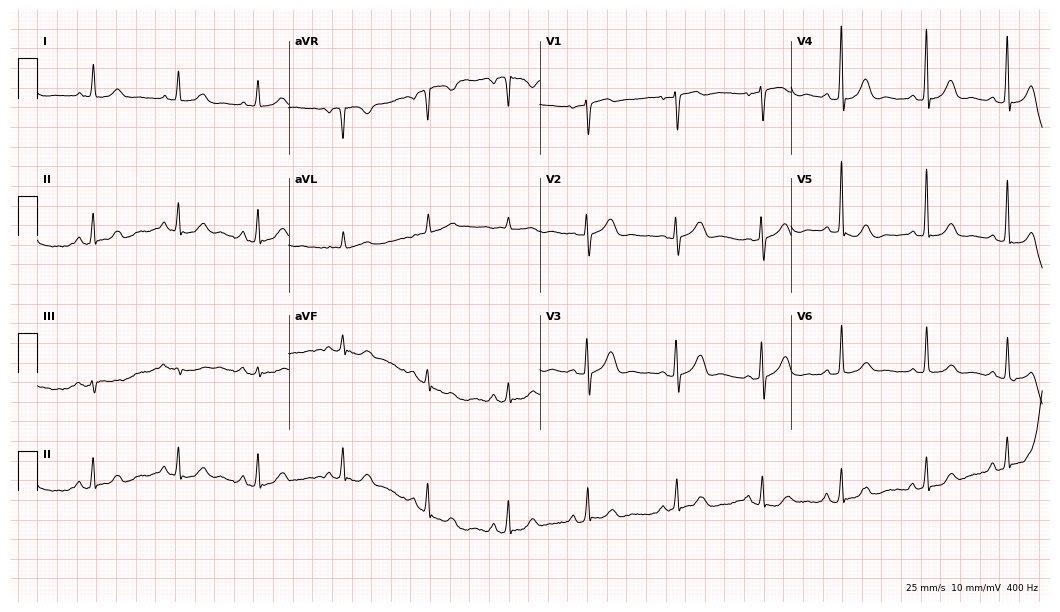
ECG (10.2-second recording at 400 Hz) — a 77-year-old female patient. Labelled as a normal ECG.